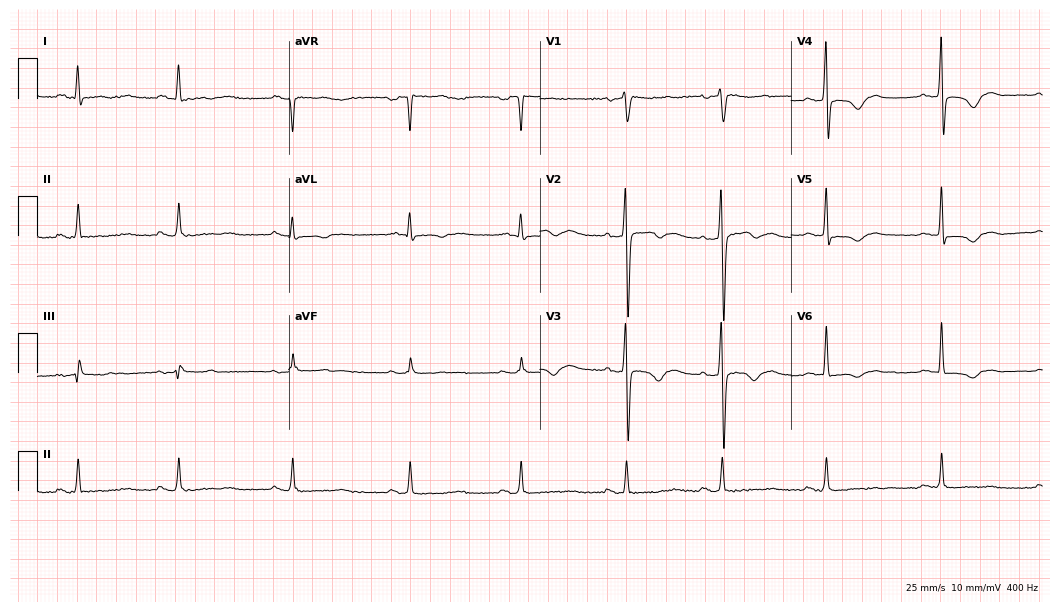
12-lead ECG from a 38-year-old man (10.2-second recording at 400 Hz). Recorded interpretation: within normal limits.